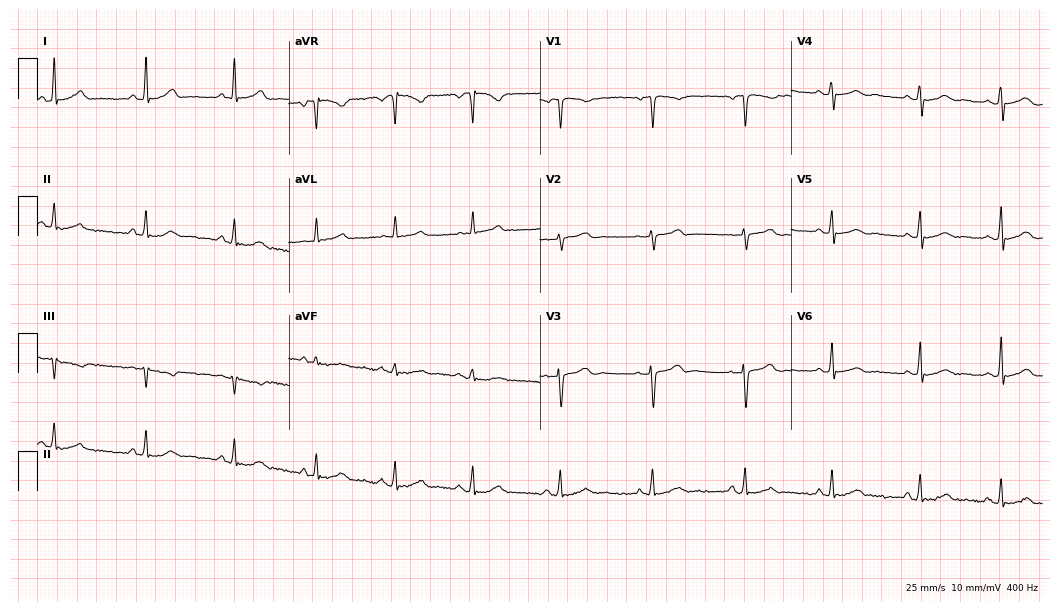
12-lead ECG from a female patient, 32 years old. Recorded interpretation: within normal limits.